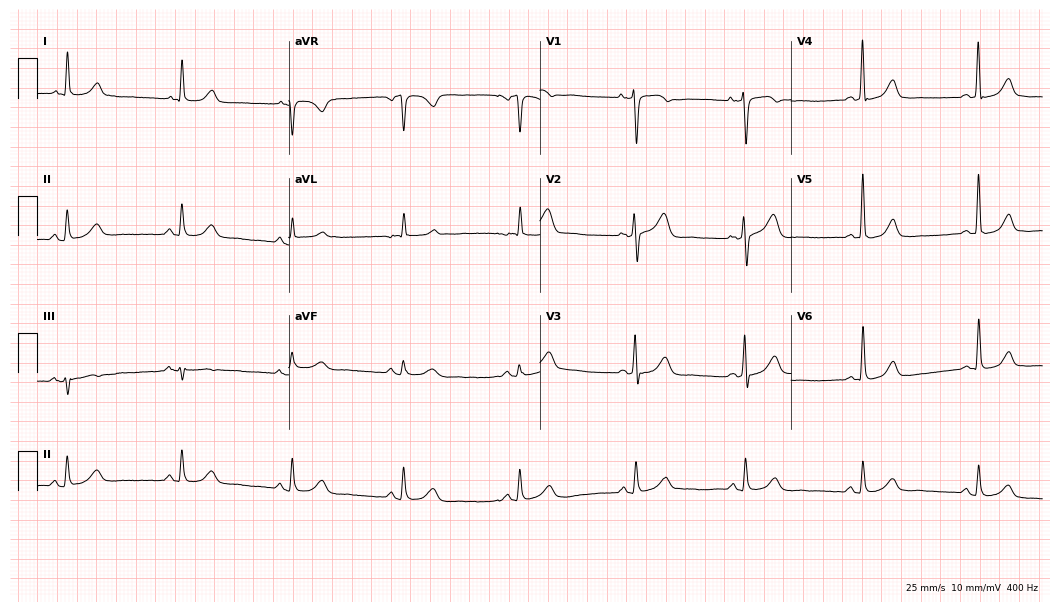
12-lead ECG from a 79-year-old woman. No first-degree AV block, right bundle branch block, left bundle branch block, sinus bradycardia, atrial fibrillation or sinus tachycardia recorded for this tracing. Only these six findings were labelled.